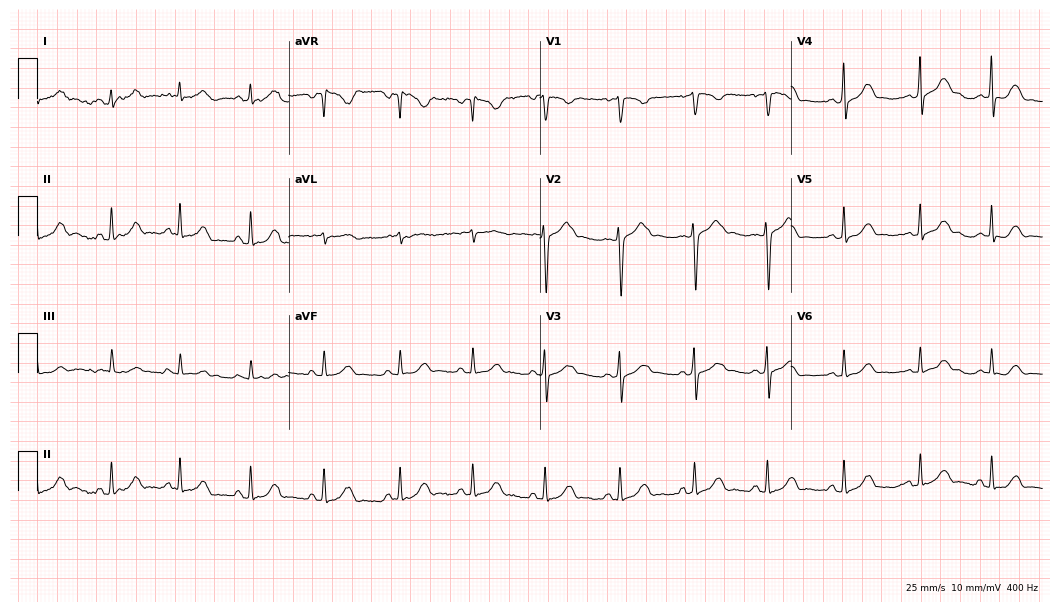
12-lead ECG from a 20-year-old woman. Recorded interpretation: within normal limits.